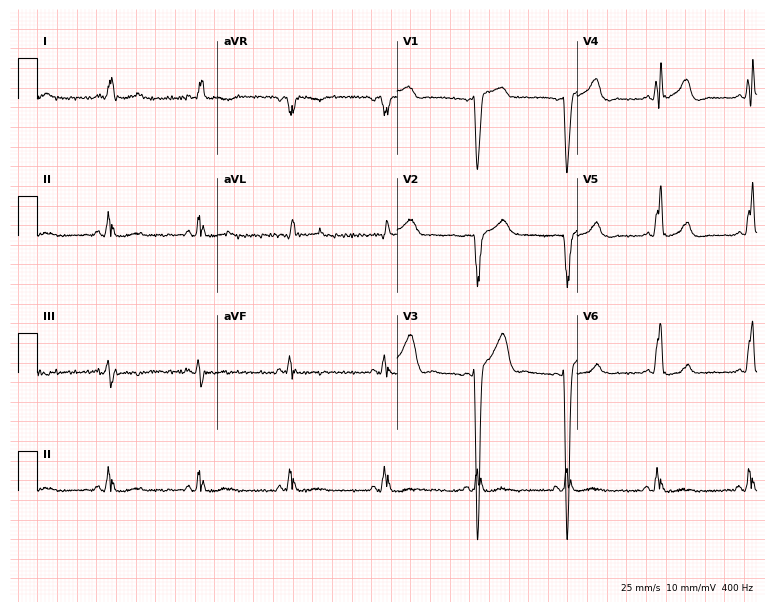
ECG — a female patient, 57 years old. Findings include left bundle branch block.